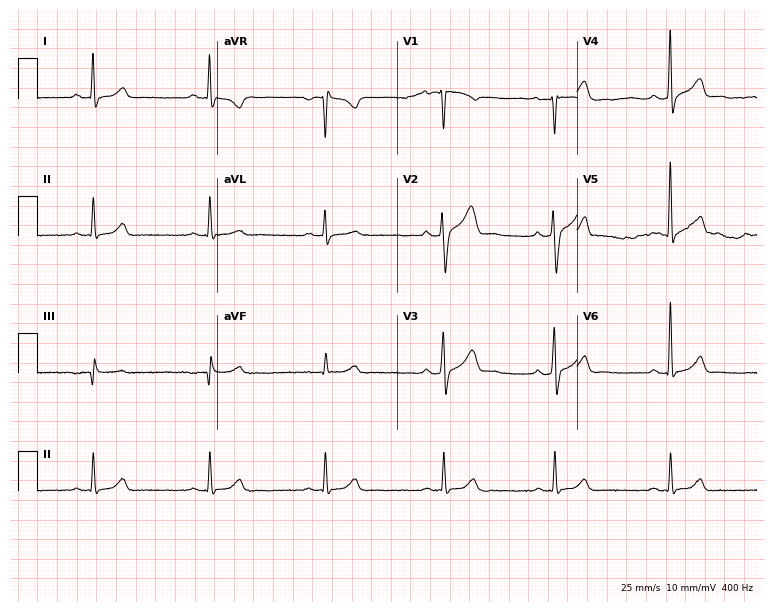
12-lead ECG from a male, 40 years old. No first-degree AV block, right bundle branch block, left bundle branch block, sinus bradycardia, atrial fibrillation or sinus tachycardia recorded for this tracing. Other findings, if any, are not listed.